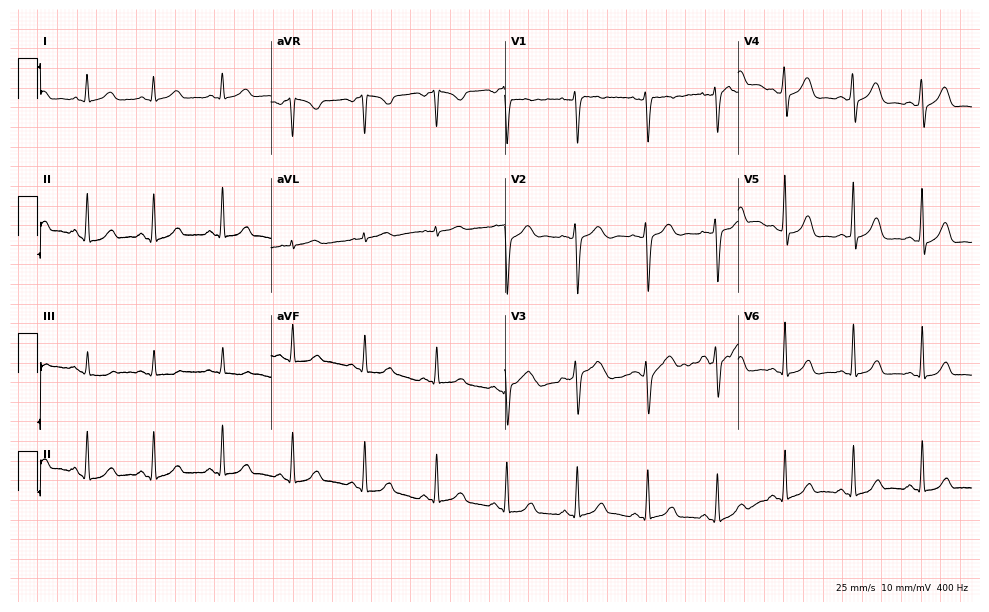
ECG — a female, 37 years old. Labelled as a normal ECG.